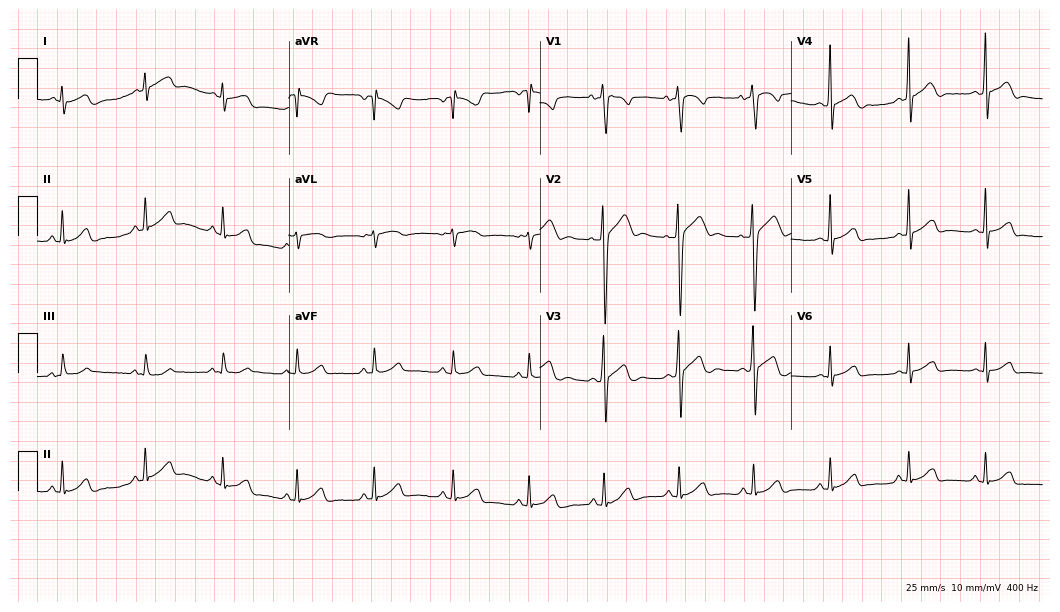
Standard 12-lead ECG recorded from a 17-year-old male (10.2-second recording at 400 Hz). Read as a normal ECG.